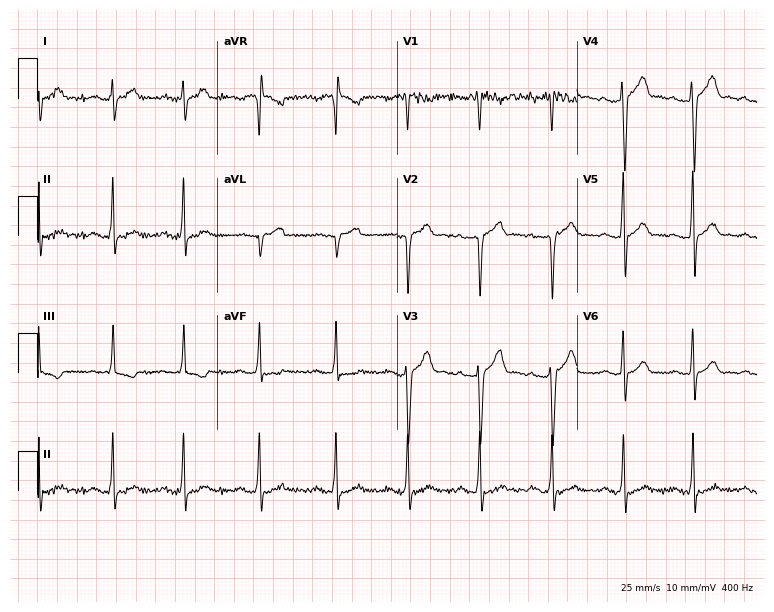
Standard 12-lead ECG recorded from a 42-year-old male (7.3-second recording at 400 Hz). None of these six findings is recorded: first-degree AV block, right bundle branch block, left bundle branch block, sinus bradycardia, atrial fibrillation, sinus tachycardia. Only these six findings were labelled.